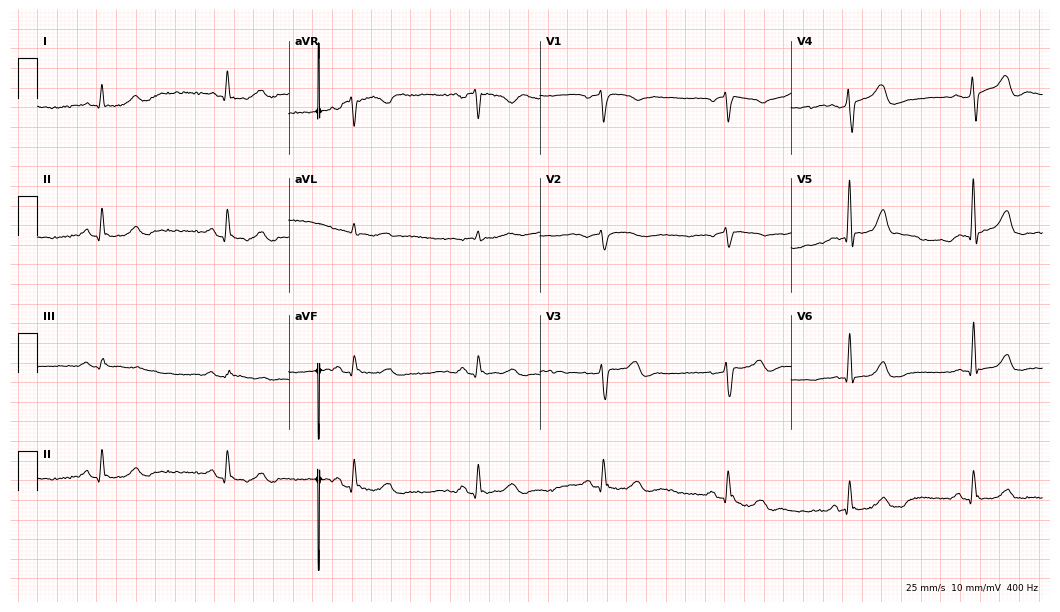
Standard 12-lead ECG recorded from a 64-year-old male (10.2-second recording at 400 Hz). None of these six findings is recorded: first-degree AV block, right bundle branch block (RBBB), left bundle branch block (LBBB), sinus bradycardia, atrial fibrillation (AF), sinus tachycardia.